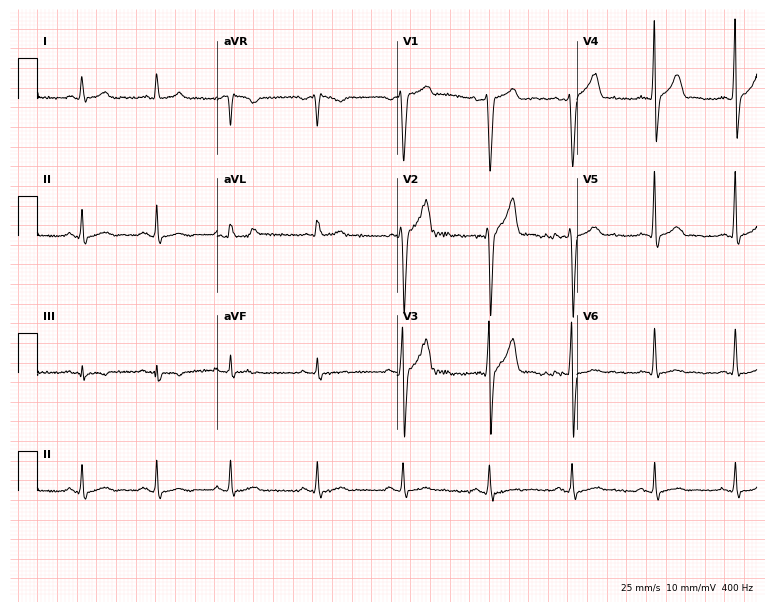
12-lead ECG from a 29-year-old male. No first-degree AV block, right bundle branch block (RBBB), left bundle branch block (LBBB), sinus bradycardia, atrial fibrillation (AF) or sinus tachycardia recorded for this tracing.